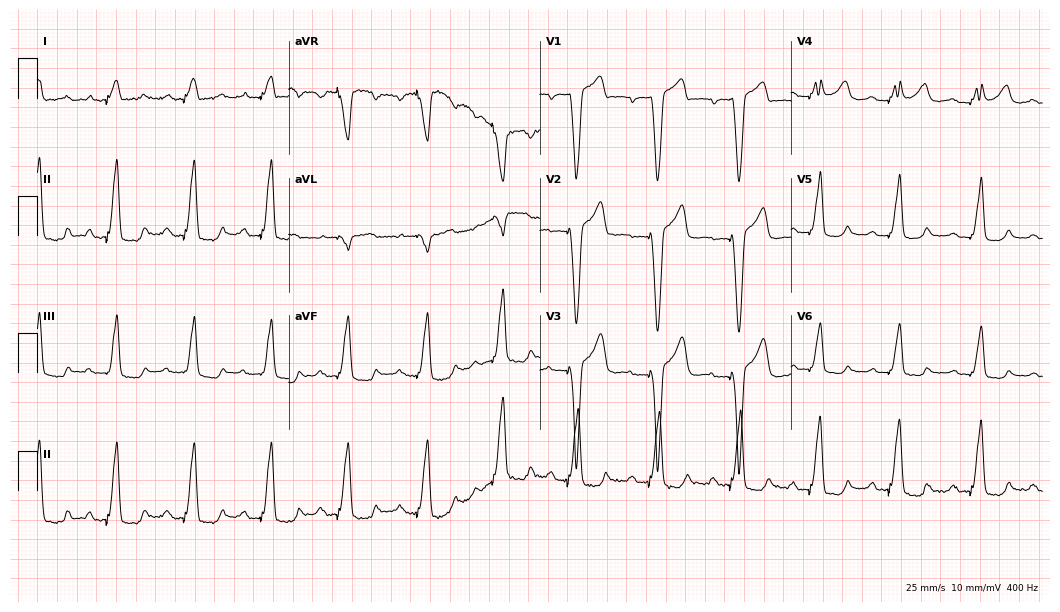
Resting 12-lead electrocardiogram. Patient: a 74-year-old woman. The tracing shows left bundle branch block.